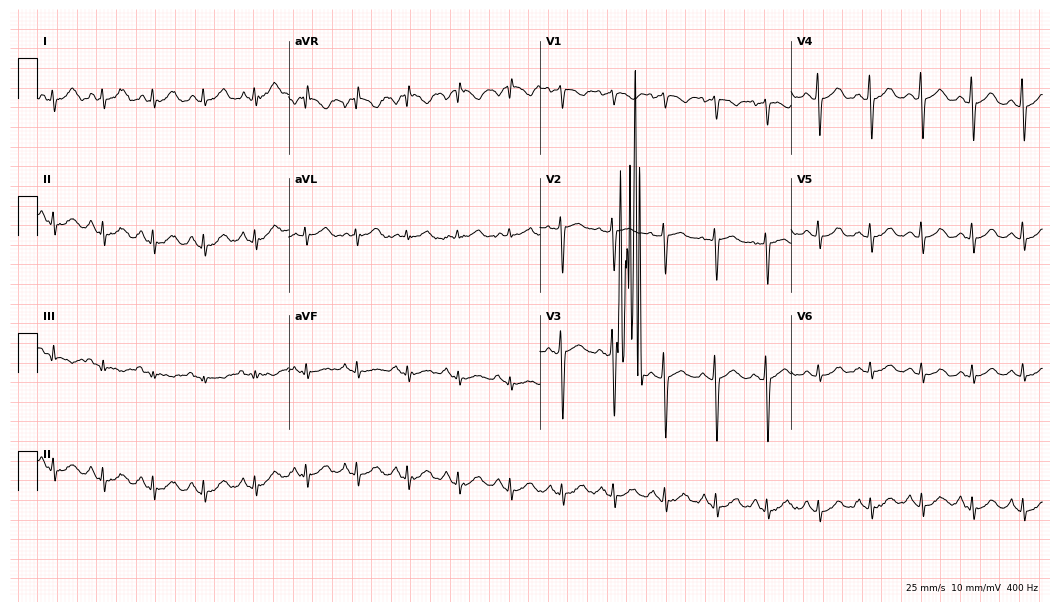
ECG — a 23-year-old female. Screened for six findings — first-degree AV block, right bundle branch block (RBBB), left bundle branch block (LBBB), sinus bradycardia, atrial fibrillation (AF), sinus tachycardia — none is recorded.